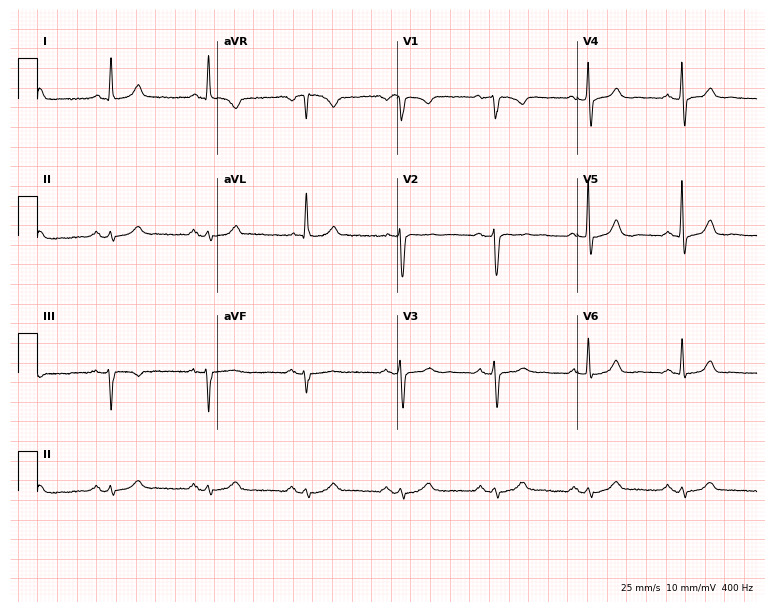
12-lead ECG from a male patient, 70 years old. No first-degree AV block, right bundle branch block, left bundle branch block, sinus bradycardia, atrial fibrillation or sinus tachycardia recorded for this tracing. Other findings, if any, are not listed.